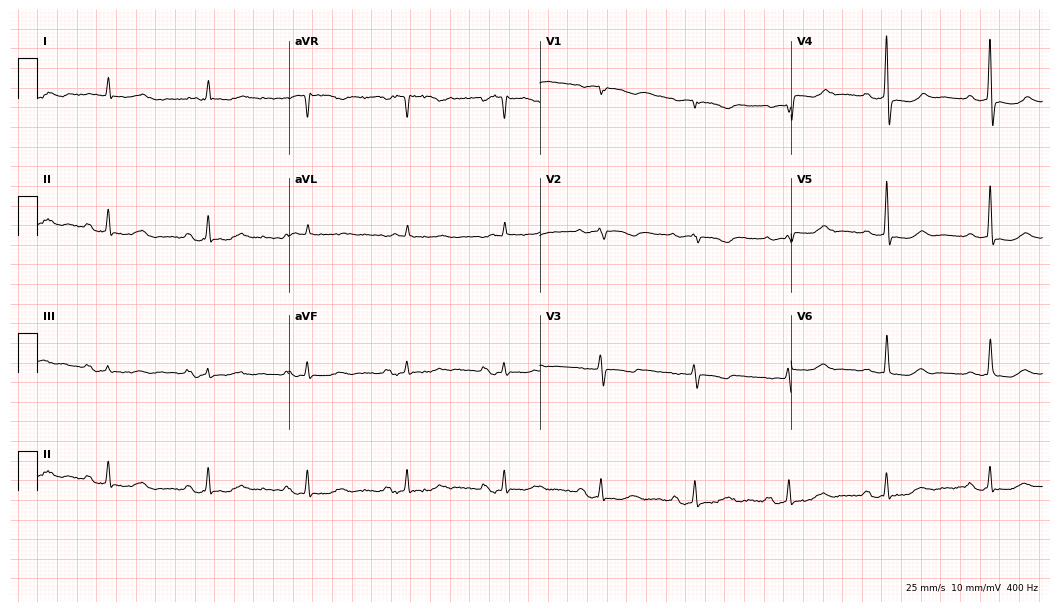
ECG (10.2-second recording at 400 Hz) — a female, 66 years old. Screened for six findings — first-degree AV block, right bundle branch block (RBBB), left bundle branch block (LBBB), sinus bradycardia, atrial fibrillation (AF), sinus tachycardia — none is recorded.